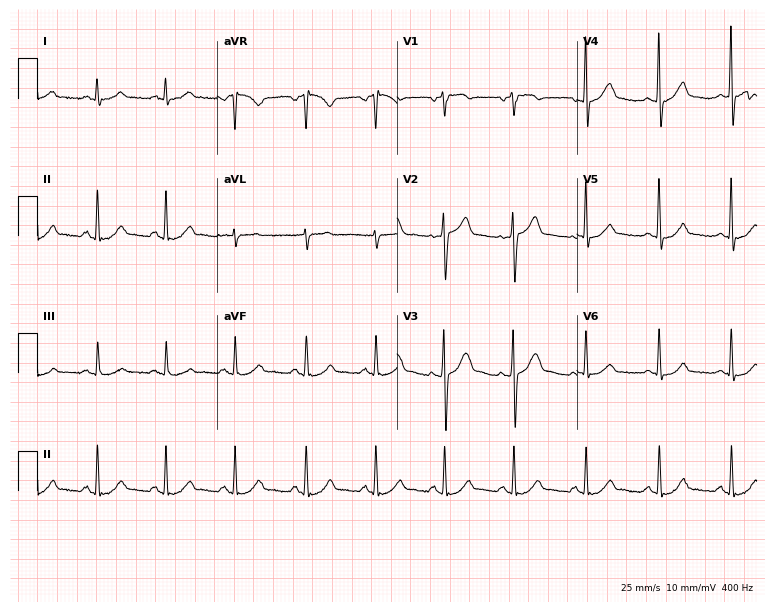
12-lead ECG from a 56-year-old male patient. Labelled as a normal ECG.